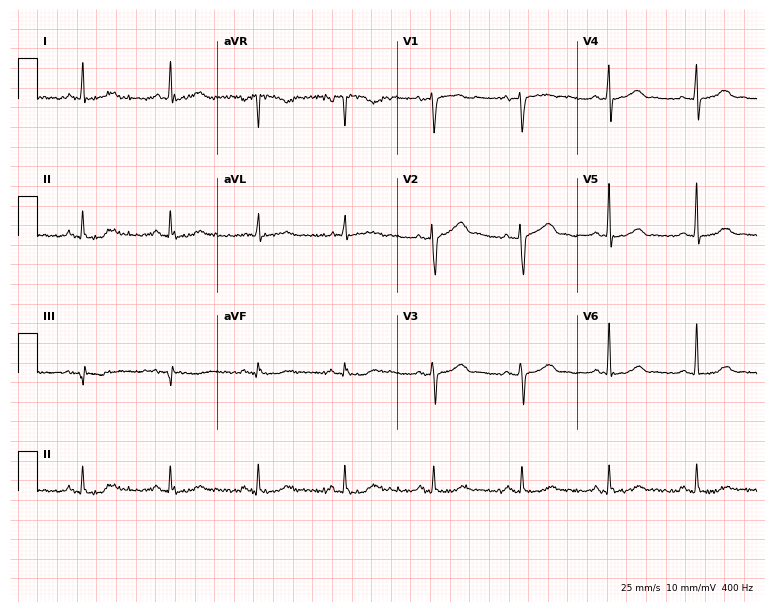
12-lead ECG from a female patient, 58 years old (7.3-second recording at 400 Hz). Recorded interpretation: within normal limits.